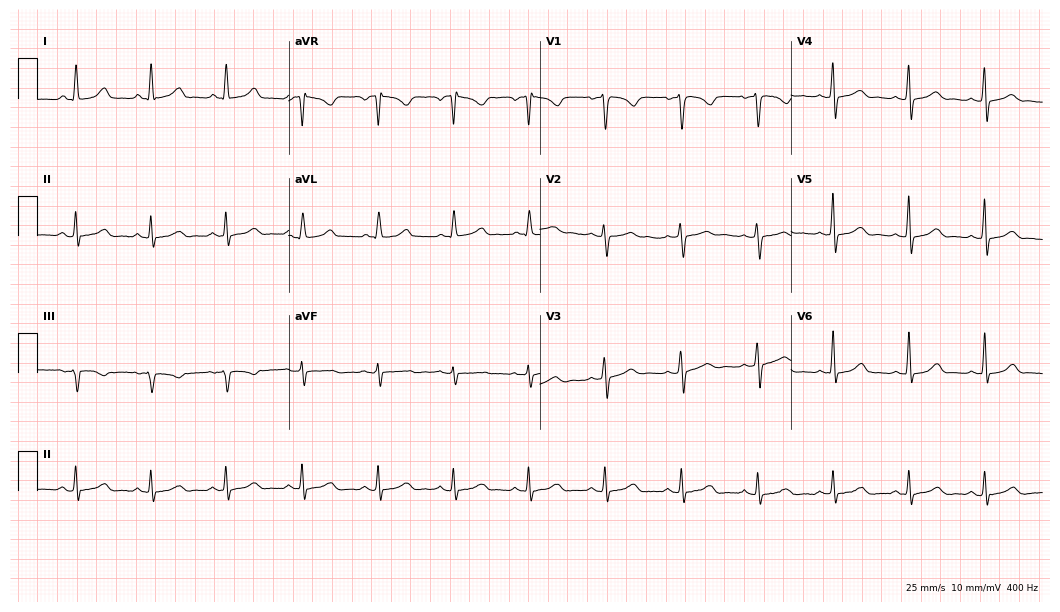
12-lead ECG from a 41-year-old female patient. Recorded interpretation: within normal limits.